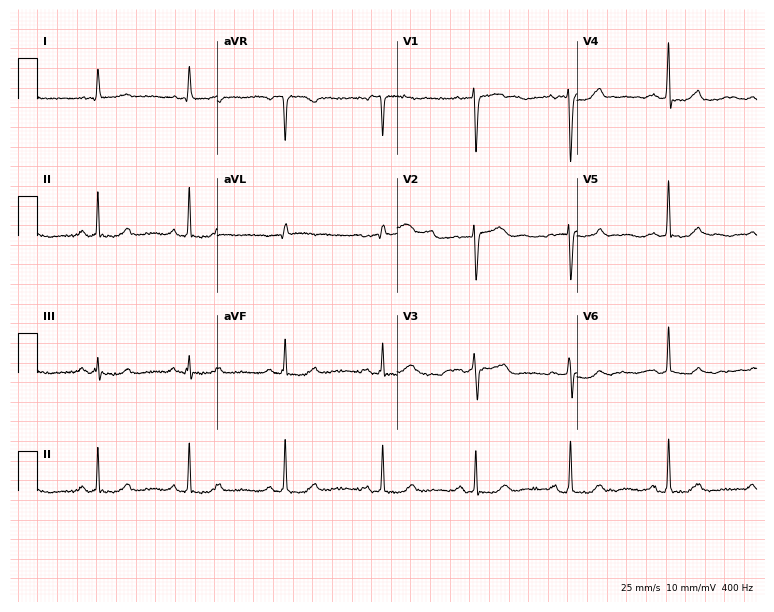
Electrocardiogram, a female, 61 years old. Overall reading on record: normal ECG.